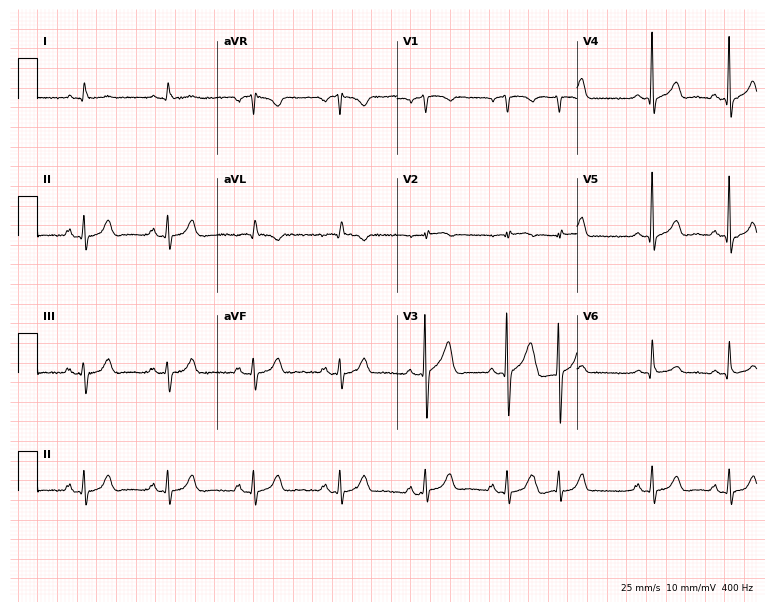
Resting 12-lead electrocardiogram (7.3-second recording at 400 Hz). Patient: a 68-year-old male. None of these six findings is recorded: first-degree AV block, right bundle branch block, left bundle branch block, sinus bradycardia, atrial fibrillation, sinus tachycardia.